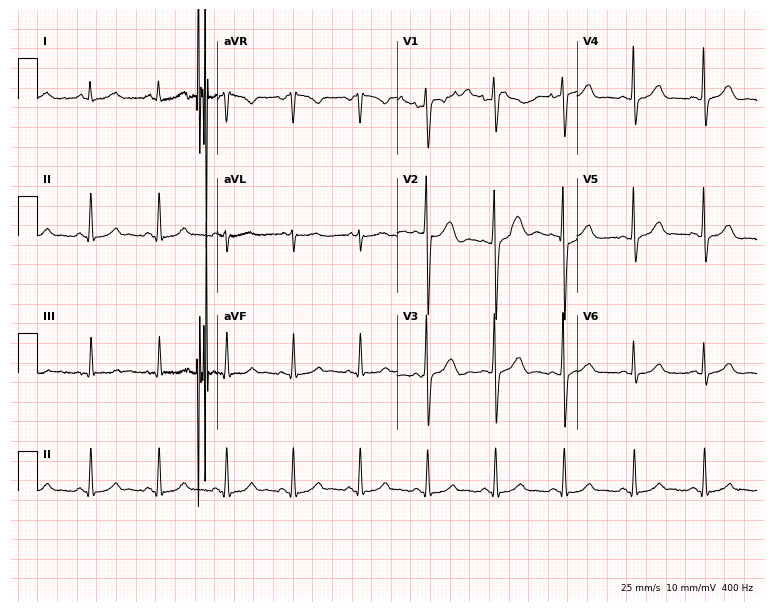
Standard 12-lead ECG recorded from a 49-year-old male. Read as a normal ECG.